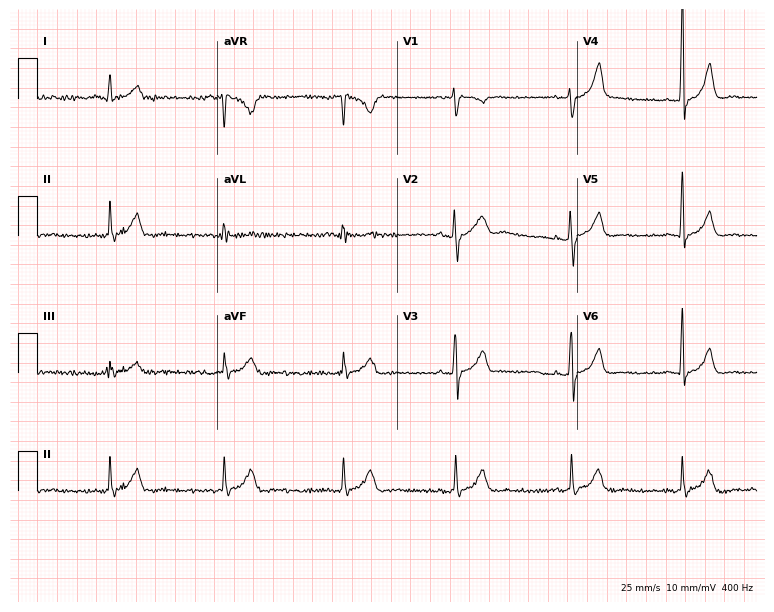
Standard 12-lead ECG recorded from a male, 37 years old (7.3-second recording at 400 Hz). None of these six findings is recorded: first-degree AV block, right bundle branch block, left bundle branch block, sinus bradycardia, atrial fibrillation, sinus tachycardia.